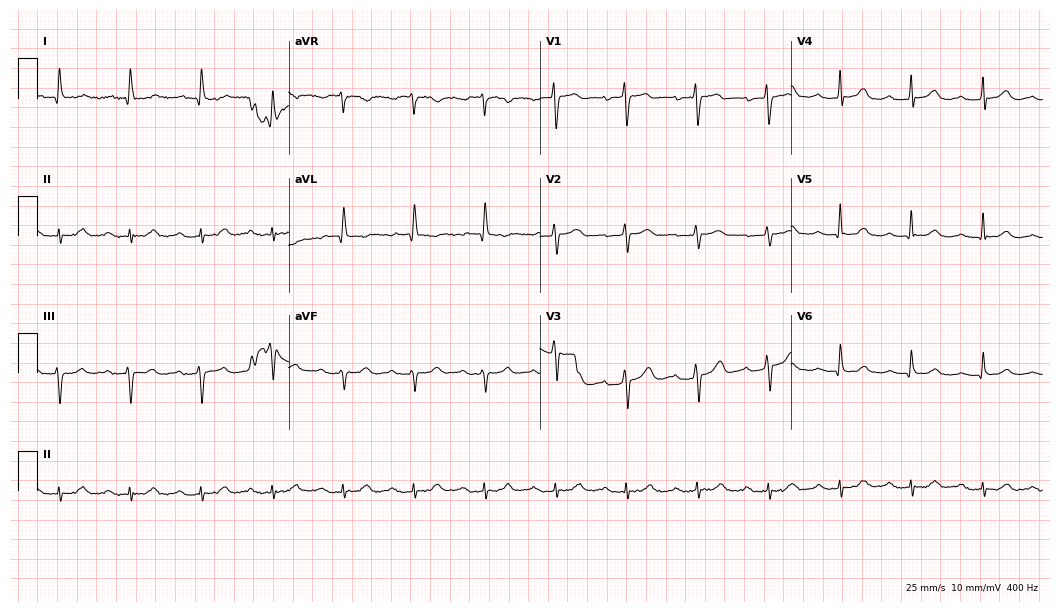
12-lead ECG from a female, 85 years old (10.2-second recording at 400 Hz). No first-degree AV block, right bundle branch block (RBBB), left bundle branch block (LBBB), sinus bradycardia, atrial fibrillation (AF) or sinus tachycardia recorded for this tracing.